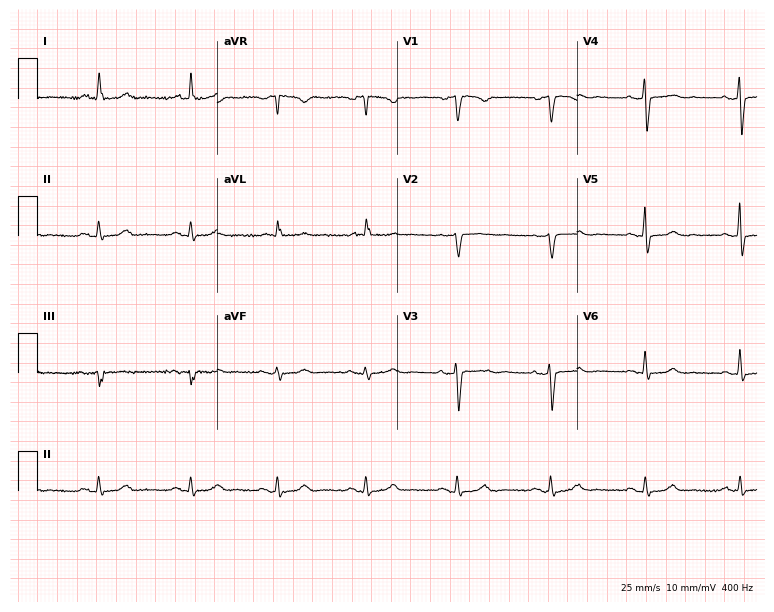
Electrocardiogram (7.3-second recording at 400 Hz), a woman, 64 years old. Overall reading on record: normal ECG.